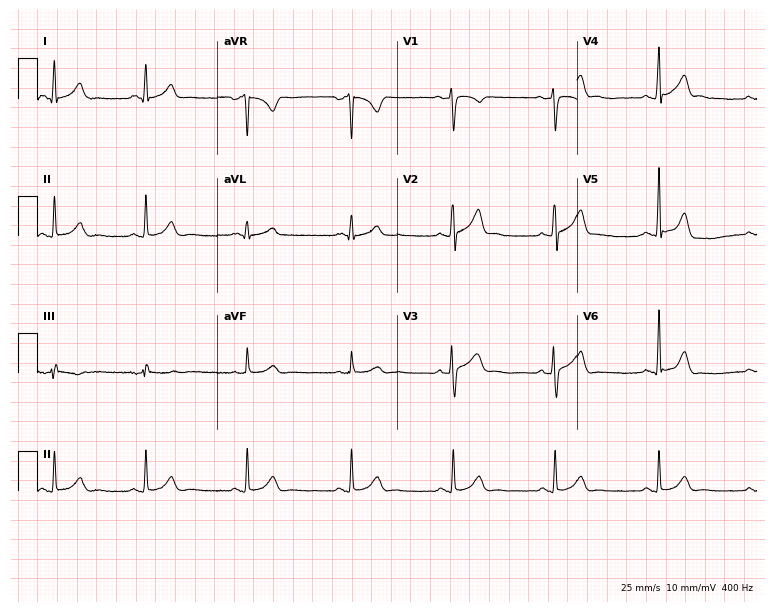
12-lead ECG from a female patient, 23 years old. Labelled as a normal ECG.